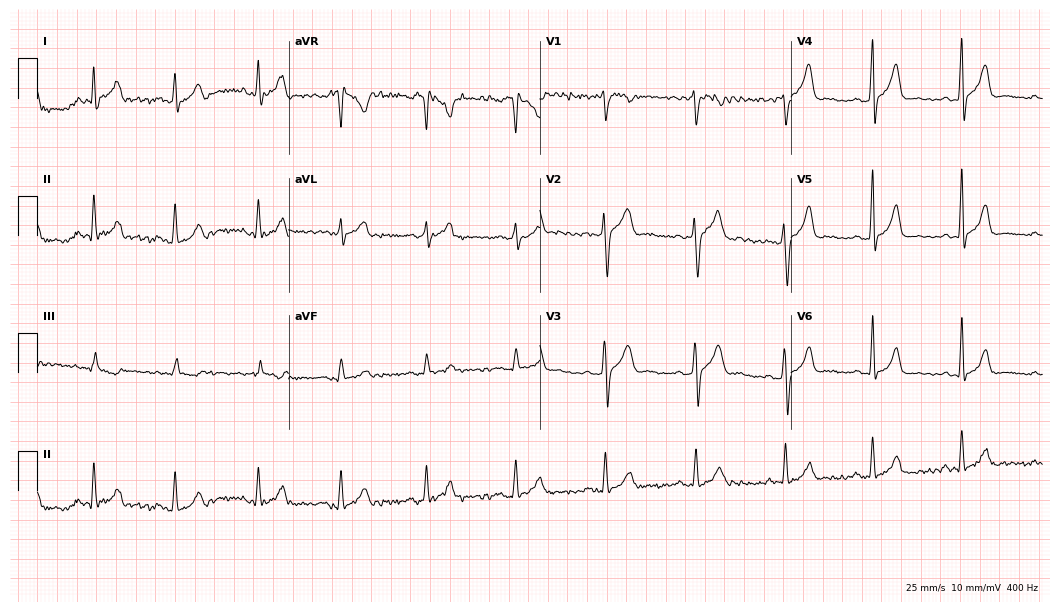
ECG (10.2-second recording at 400 Hz) — a male patient, 31 years old. Screened for six findings — first-degree AV block, right bundle branch block (RBBB), left bundle branch block (LBBB), sinus bradycardia, atrial fibrillation (AF), sinus tachycardia — none is recorded. Findings outside these six are not listed.